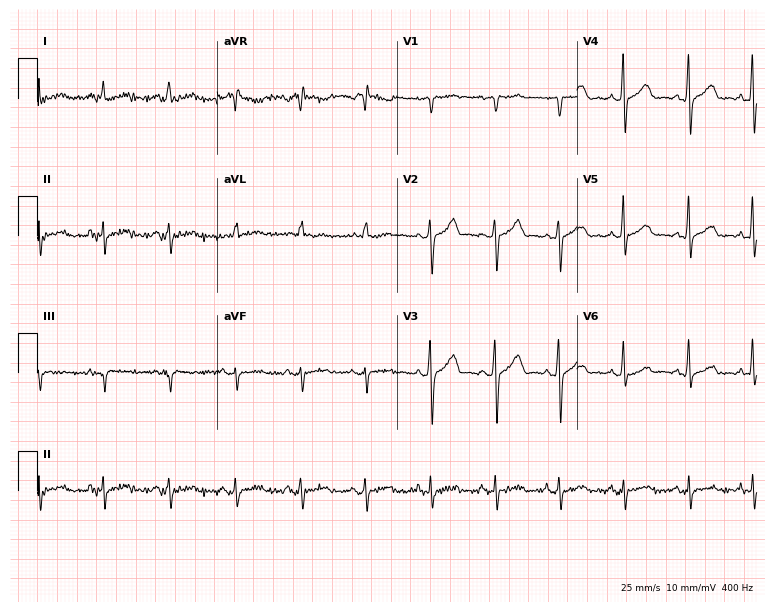
Standard 12-lead ECG recorded from a male, 49 years old. None of these six findings is recorded: first-degree AV block, right bundle branch block, left bundle branch block, sinus bradycardia, atrial fibrillation, sinus tachycardia. Only these six findings were labelled.